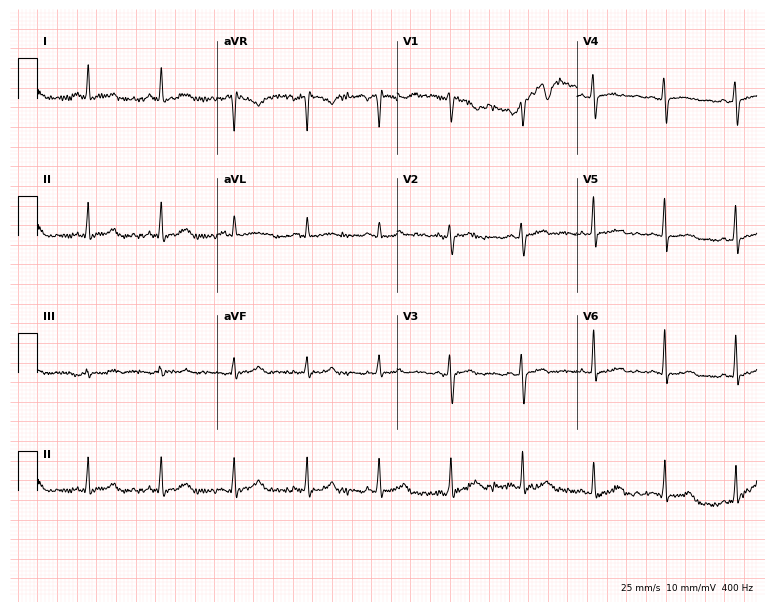
Standard 12-lead ECG recorded from a female, 39 years old. None of these six findings is recorded: first-degree AV block, right bundle branch block (RBBB), left bundle branch block (LBBB), sinus bradycardia, atrial fibrillation (AF), sinus tachycardia. Findings outside these six are not listed.